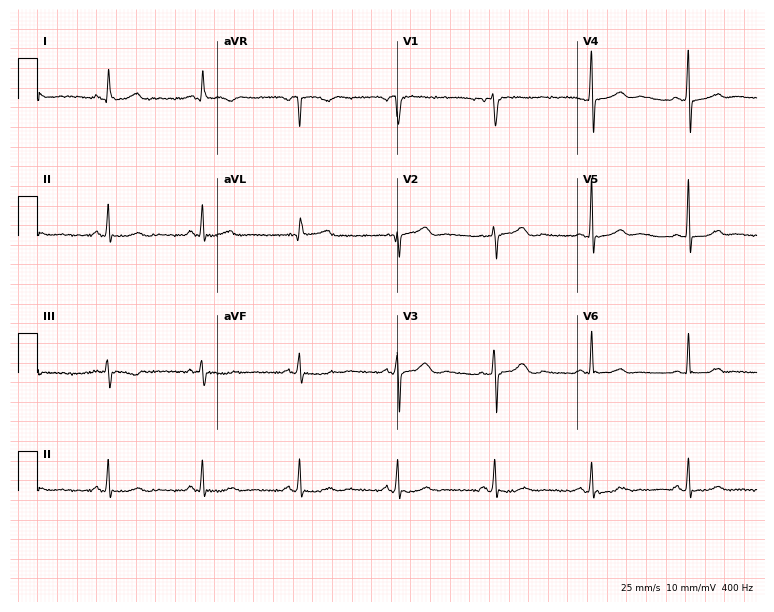
Standard 12-lead ECG recorded from a 63-year-old woman. None of these six findings is recorded: first-degree AV block, right bundle branch block, left bundle branch block, sinus bradycardia, atrial fibrillation, sinus tachycardia. Findings outside these six are not listed.